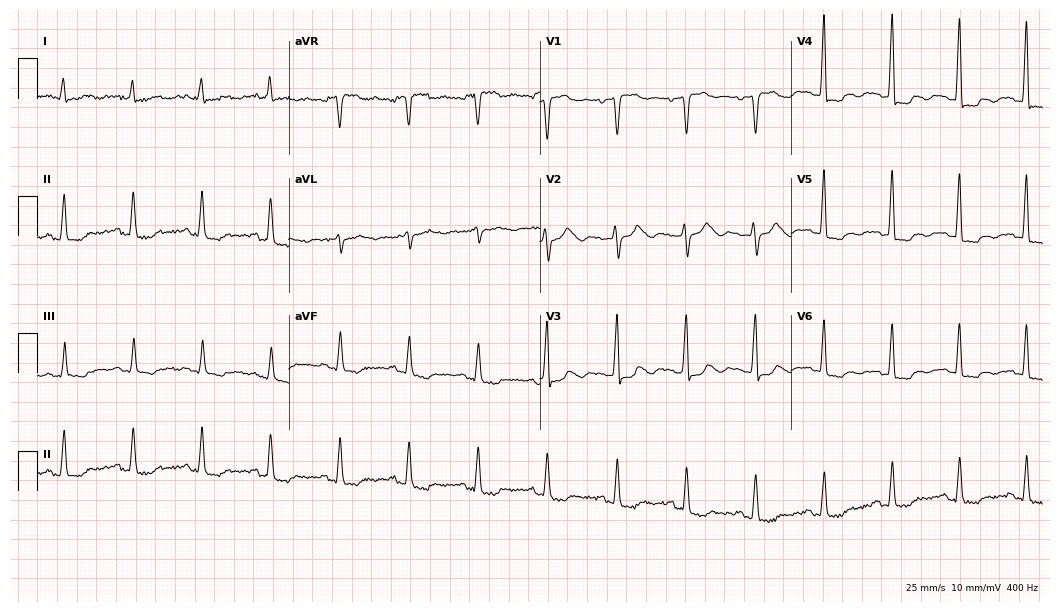
ECG — a woman, 68 years old. Screened for six findings — first-degree AV block, right bundle branch block, left bundle branch block, sinus bradycardia, atrial fibrillation, sinus tachycardia — none is recorded.